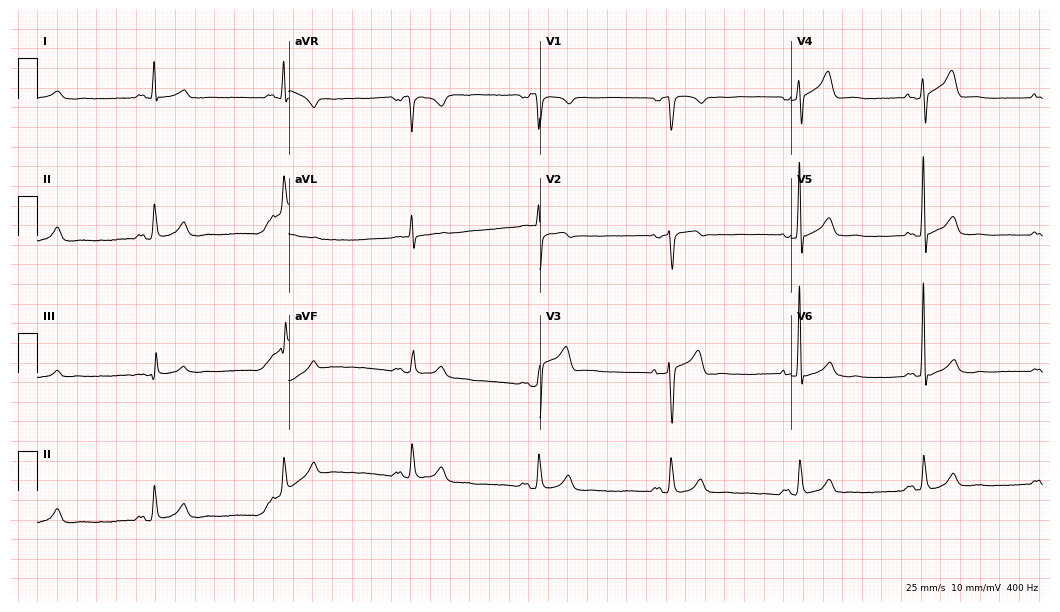
Standard 12-lead ECG recorded from a 66-year-old man (10.2-second recording at 400 Hz). The tracing shows sinus bradycardia (a sinus rate of 50 beats per minute or less).